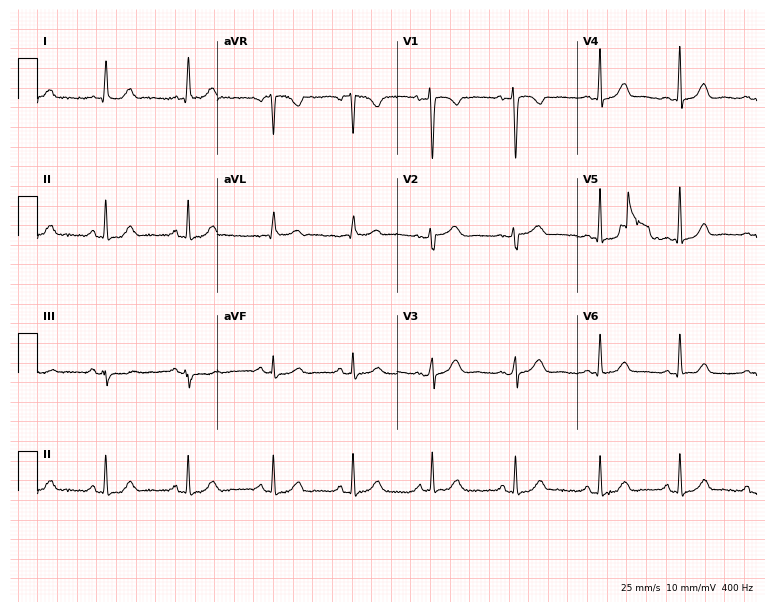
Electrocardiogram, a female, 42 years old. Overall reading on record: normal ECG.